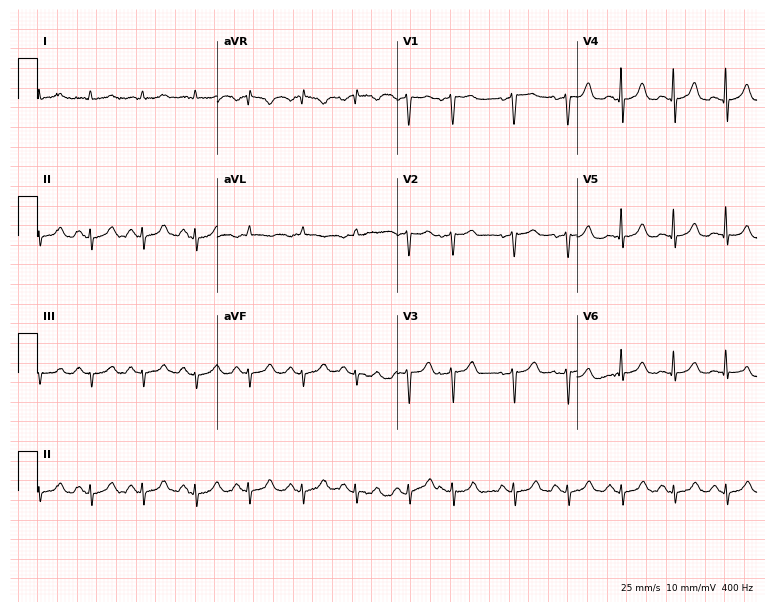
12-lead ECG from a 63-year-old male patient. Shows sinus tachycardia (a sinus rate of 100 beats per minute or more).